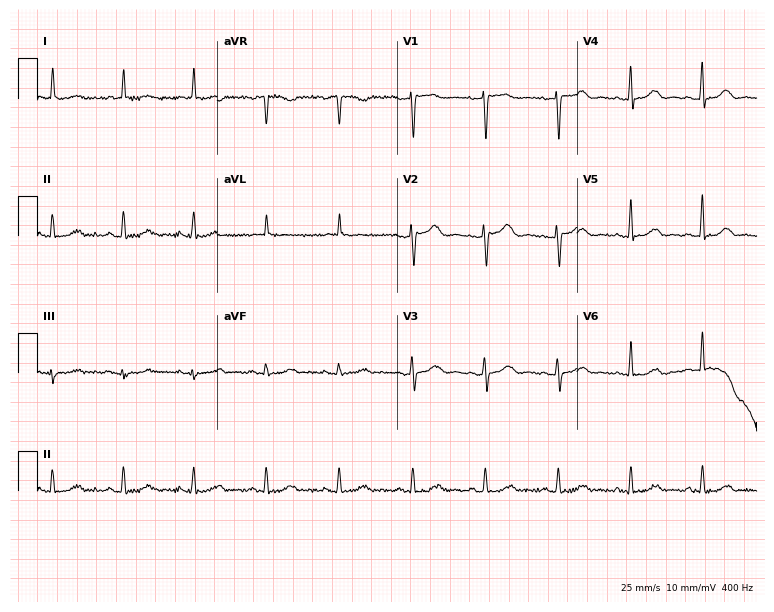
Resting 12-lead electrocardiogram (7.3-second recording at 400 Hz). Patient: a 70-year-old female. Read as a normal ECG.